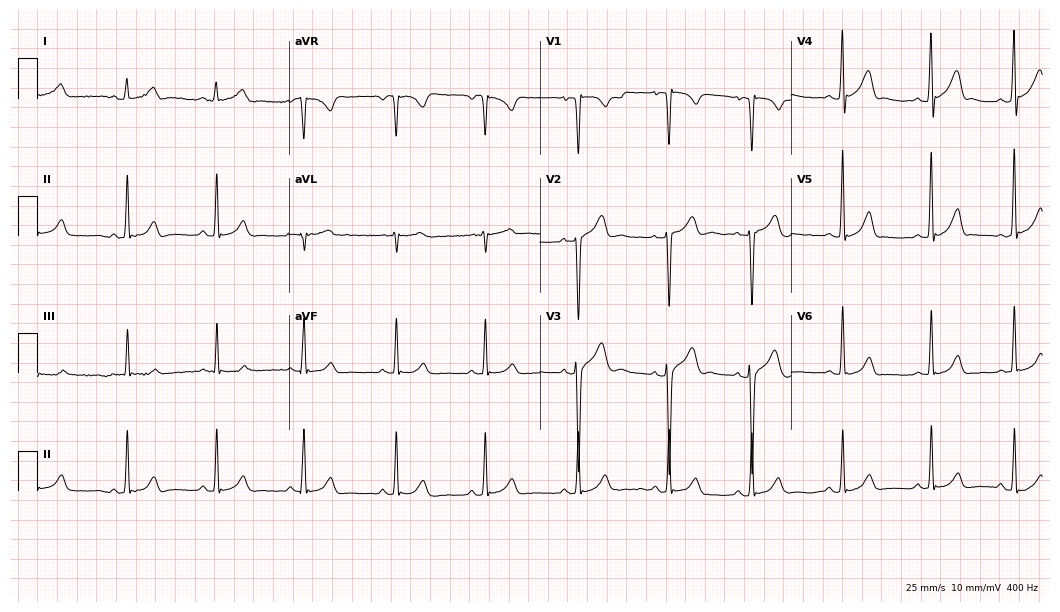
Electrocardiogram (10.2-second recording at 400 Hz), a male, 22 years old. Overall reading on record: normal ECG.